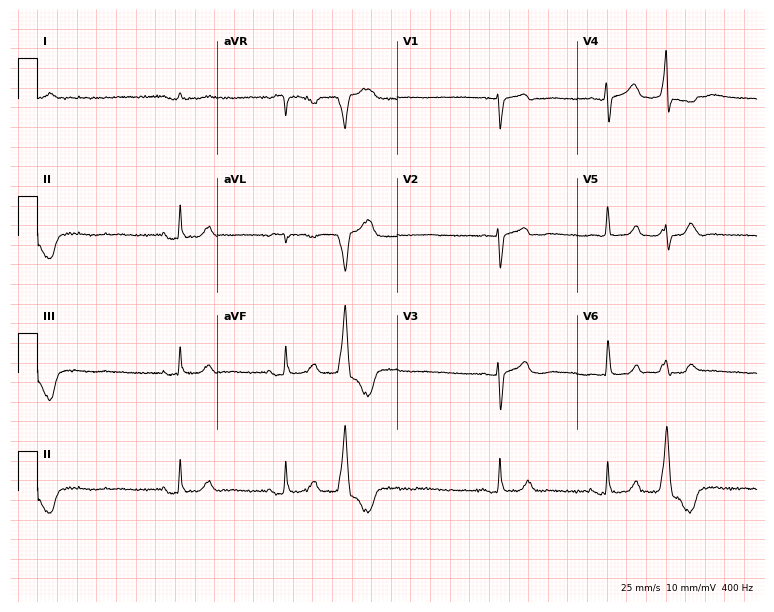
Electrocardiogram (7.3-second recording at 400 Hz), an 83-year-old male. Overall reading on record: normal ECG.